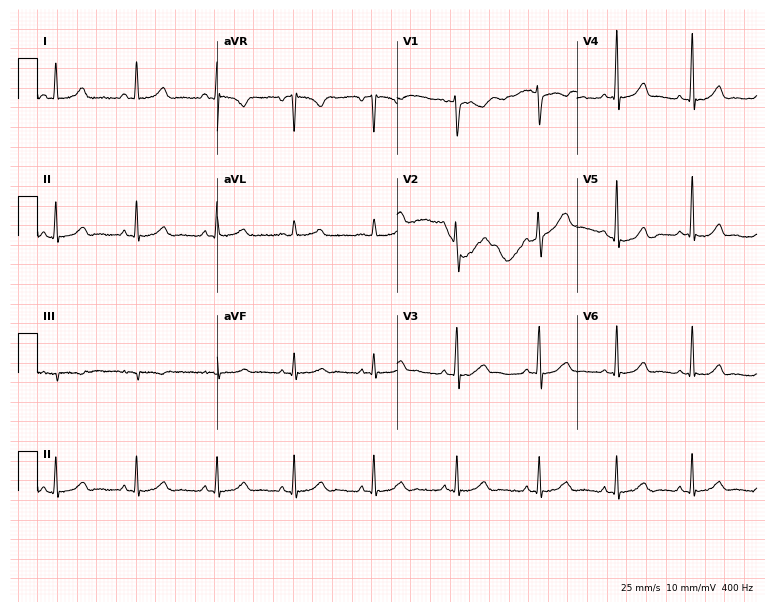
Resting 12-lead electrocardiogram (7.3-second recording at 400 Hz). Patient: a female, 31 years old. Read as a normal ECG.